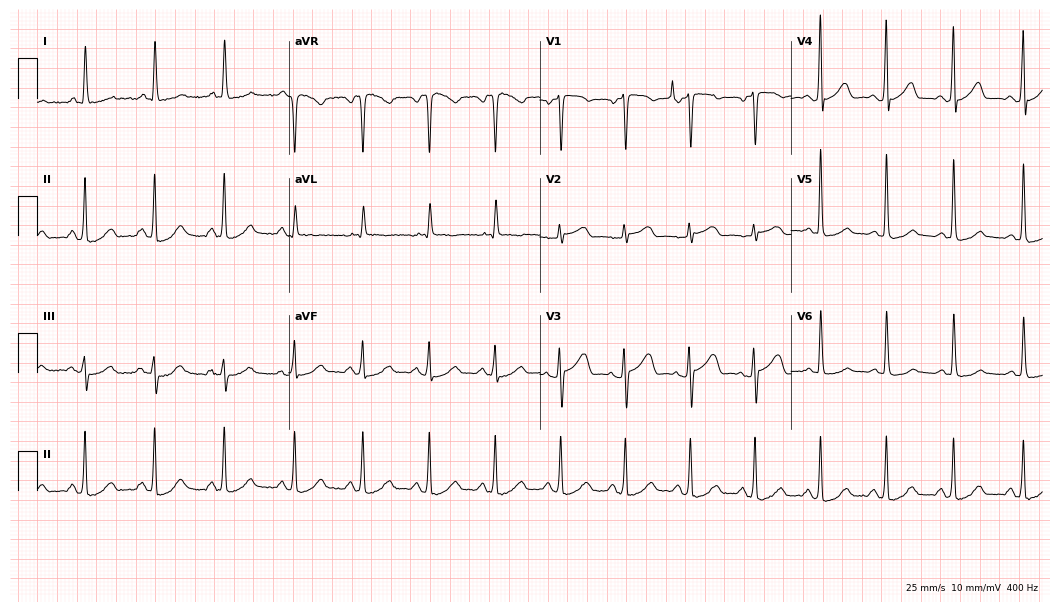
Standard 12-lead ECG recorded from a 66-year-old female patient (10.2-second recording at 400 Hz). None of these six findings is recorded: first-degree AV block, right bundle branch block, left bundle branch block, sinus bradycardia, atrial fibrillation, sinus tachycardia.